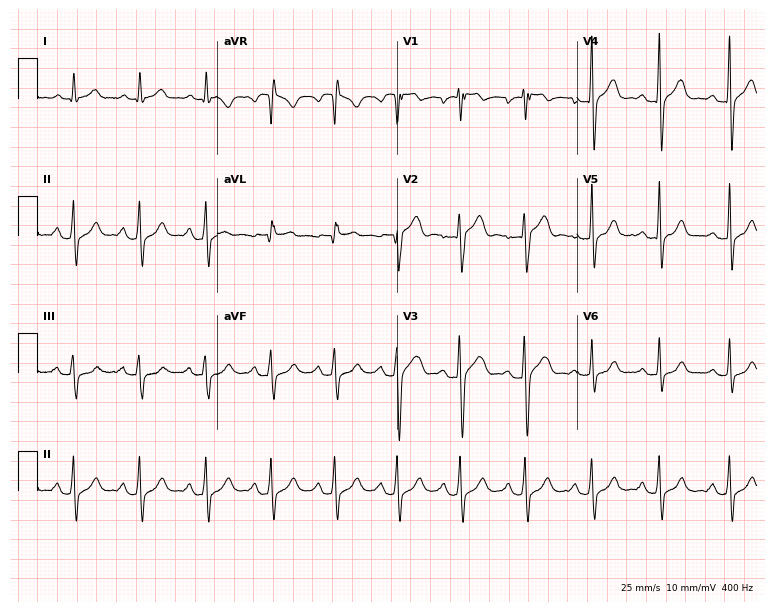
Electrocardiogram (7.3-second recording at 400 Hz), a 34-year-old male. Overall reading on record: normal ECG.